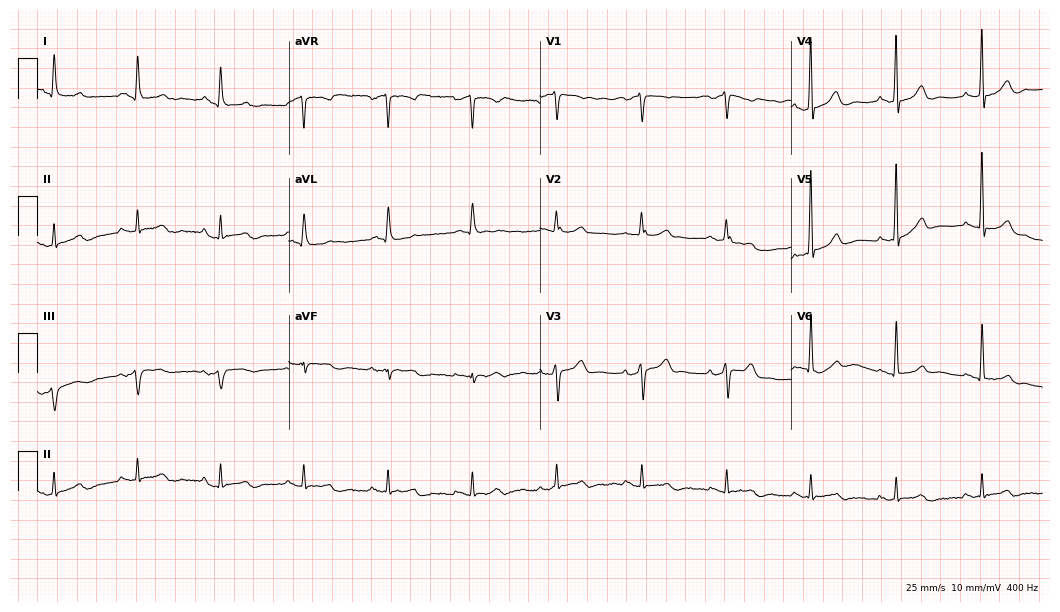
Electrocardiogram (10.2-second recording at 400 Hz), a male patient, 76 years old. Overall reading on record: normal ECG.